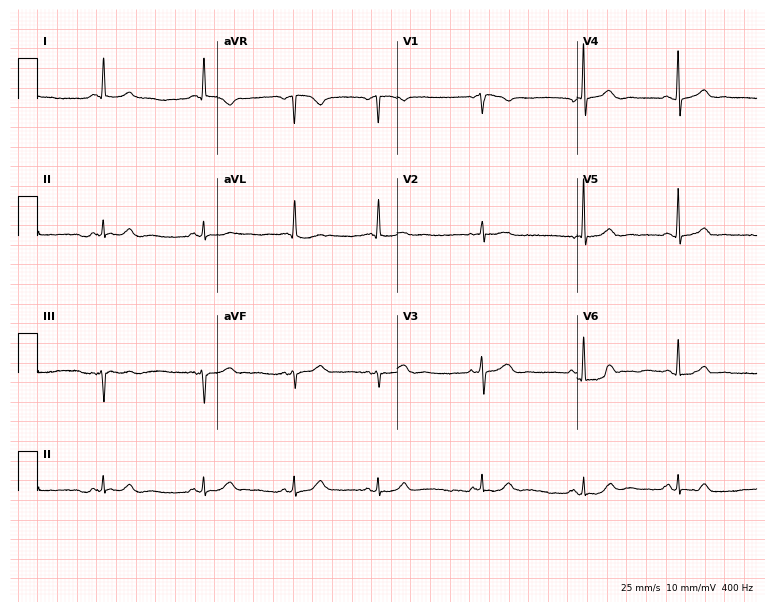
Electrocardiogram (7.3-second recording at 400 Hz), an 83-year-old female patient. Of the six screened findings (first-degree AV block, right bundle branch block, left bundle branch block, sinus bradycardia, atrial fibrillation, sinus tachycardia), none is recorded. Other findings, if any, are not listed.